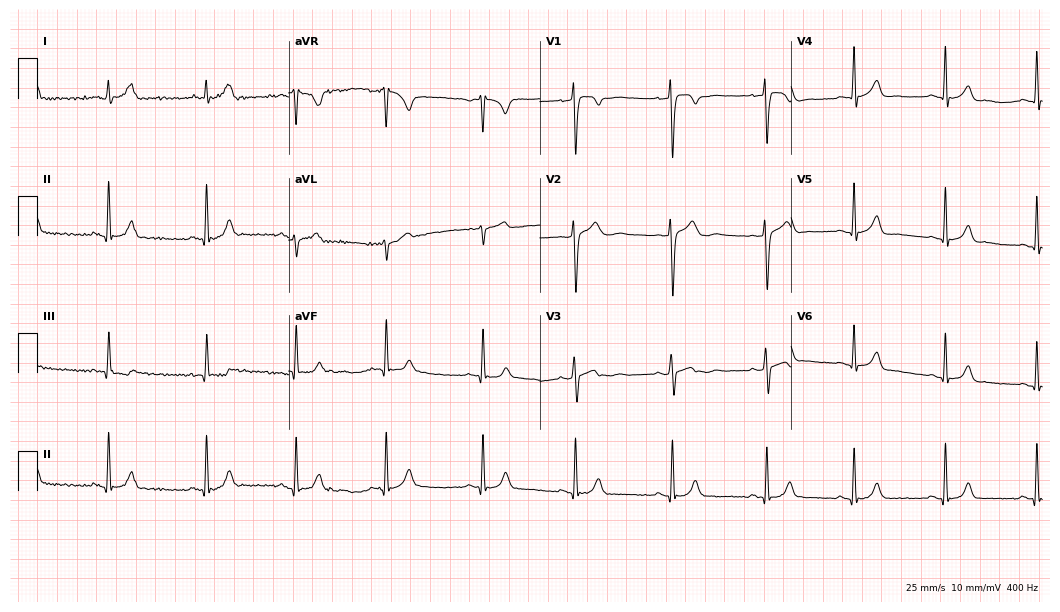
12-lead ECG from a 19-year-old man (10.2-second recording at 400 Hz). No first-degree AV block, right bundle branch block (RBBB), left bundle branch block (LBBB), sinus bradycardia, atrial fibrillation (AF) or sinus tachycardia recorded for this tracing.